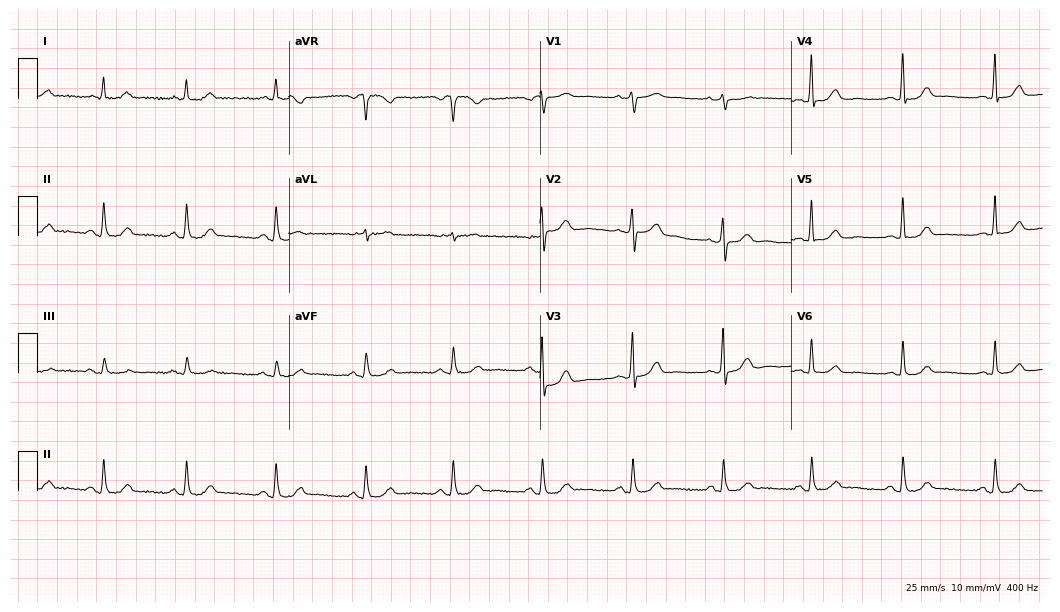
Standard 12-lead ECG recorded from a female patient, 59 years old. Read as a normal ECG.